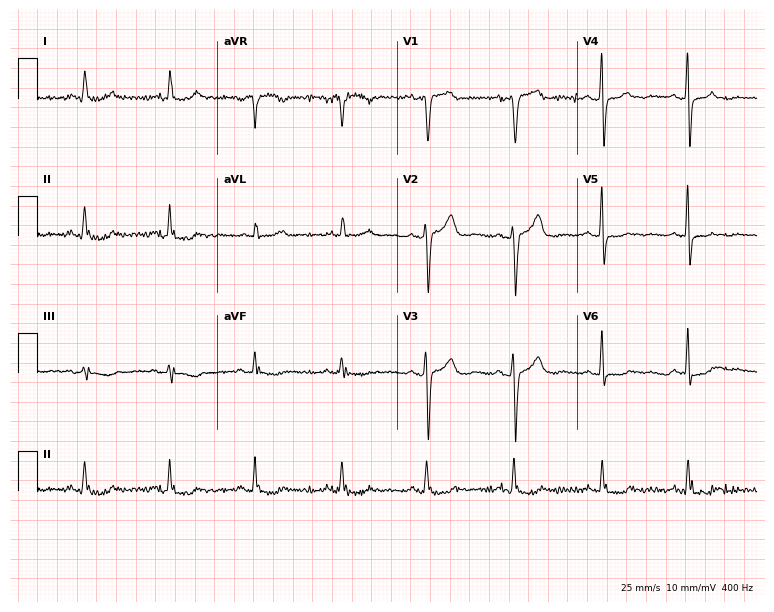
Standard 12-lead ECG recorded from a female patient, 67 years old (7.3-second recording at 400 Hz). None of these six findings is recorded: first-degree AV block, right bundle branch block (RBBB), left bundle branch block (LBBB), sinus bradycardia, atrial fibrillation (AF), sinus tachycardia. Other findings, if any, are not listed.